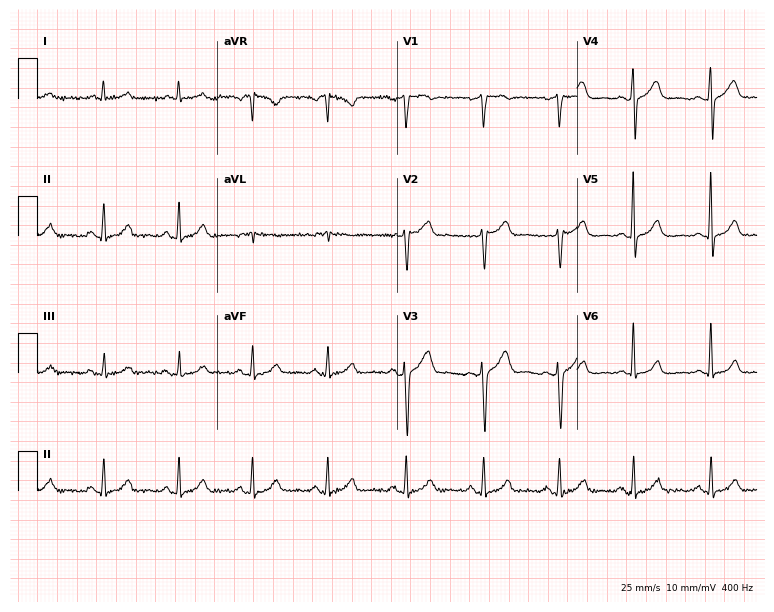
Resting 12-lead electrocardiogram. Patient: a 70-year-old female. Read as a normal ECG.